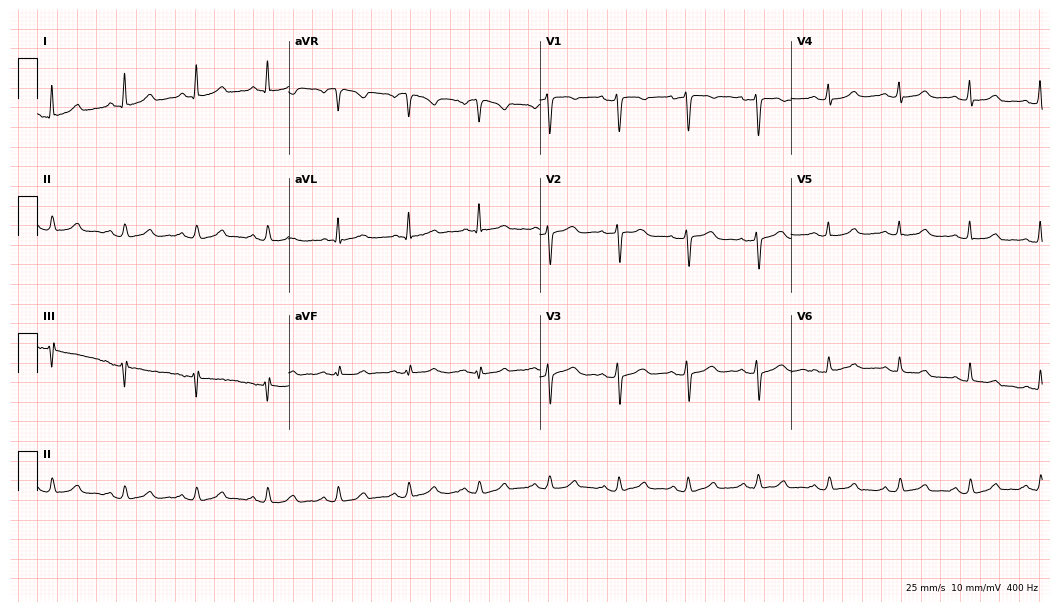
ECG — a 52-year-old female. Labelled as a normal ECG.